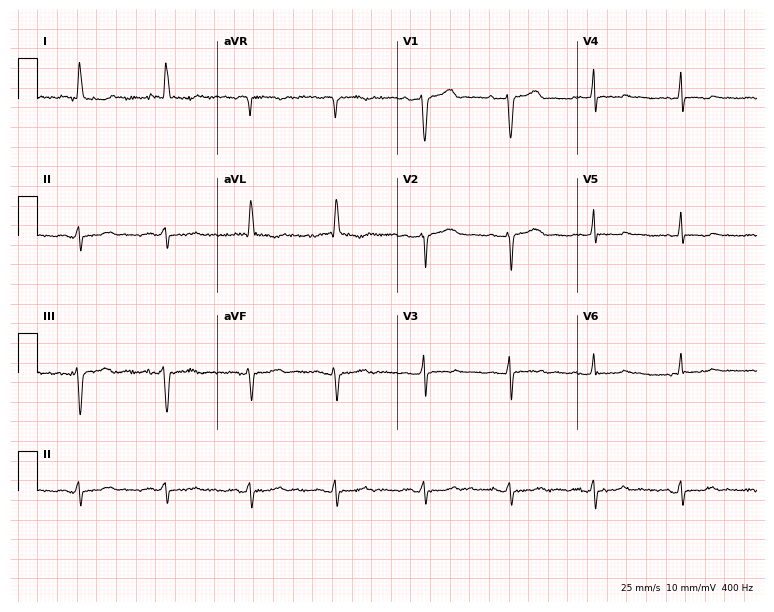
Resting 12-lead electrocardiogram (7.3-second recording at 400 Hz). Patient: a woman, 84 years old. None of these six findings is recorded: first-degree AV block, right bundle branch block, left bundle branch block, sinus bradycardia, atrial fibrillation, sinus tachycardia.